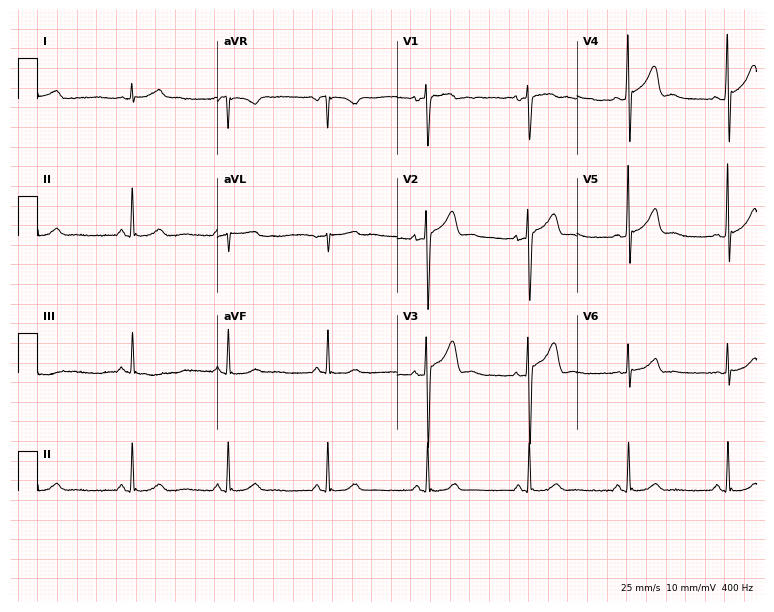
Standard 12-lead ECG recorded from a 40-year-old male patient (7.3-second recording at 400 Hz). Read as a normal ECG.